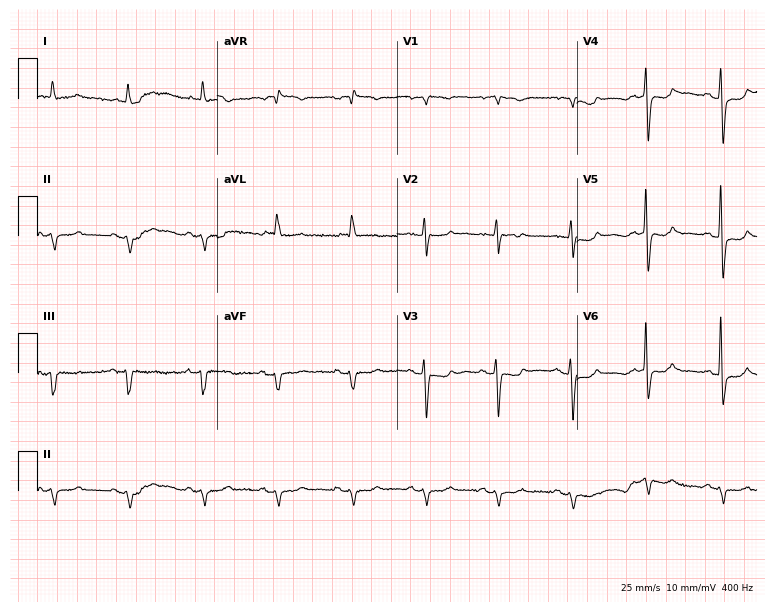
Standard 12-lead ECG recorded from a female, 83 years old (7.3-second recording at 400 Hz). None of these six findings is recorded: first-degree AV block, right bundle branch block (RBBB), left bundle branch block (LBBB), sinus bradycardia, atrial fibrillation (AF), sinus tachycardia. Other findings, if any, are not listed.